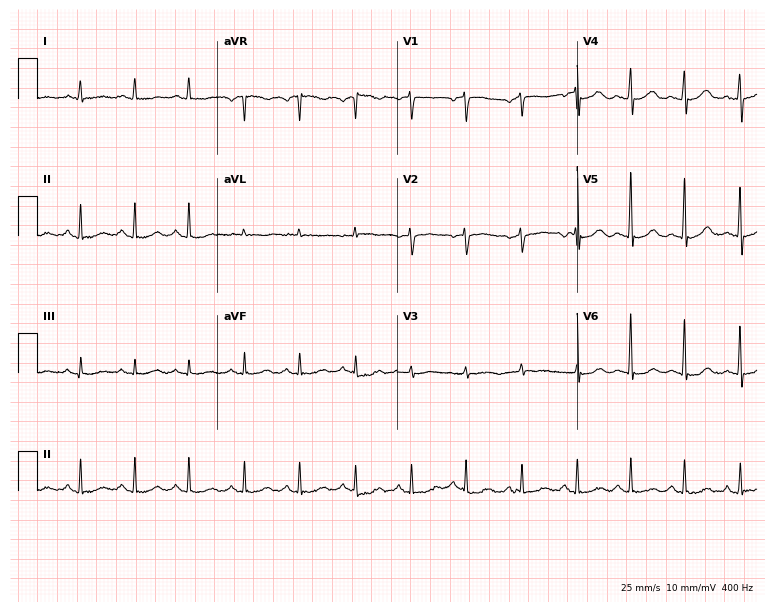
Resting 12-lead electrocardiogram. Patient: a woman, 56 years old. The tracing shows sinus tachycardia (a sinus rate of 100 beats per minute or more).